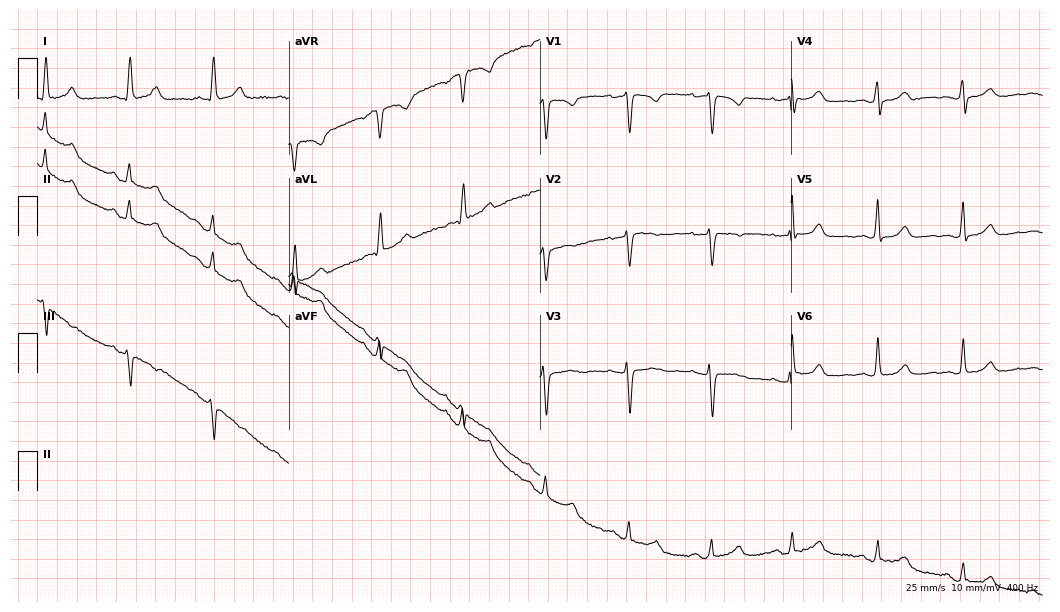
Electrocardiogram (10.2-second recording at 400 Hz), a woman, 79 years old. Overall reading on record: normal ECG.